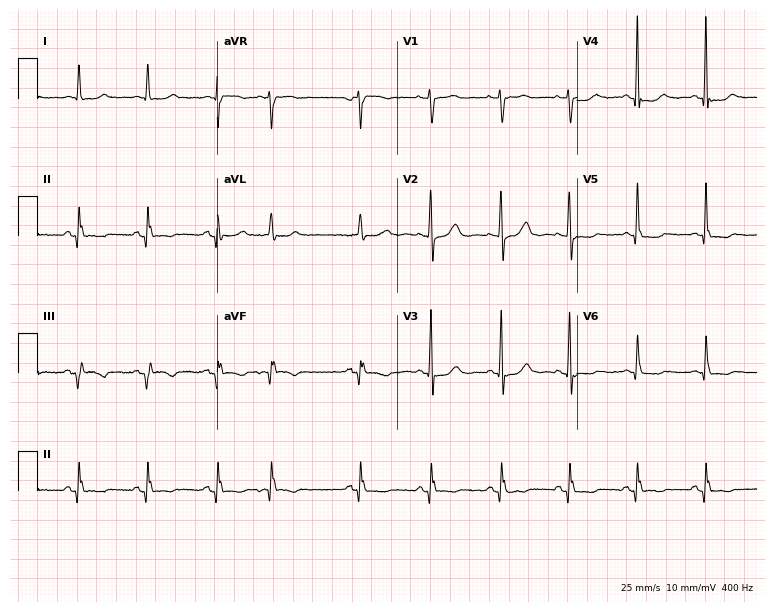
Resting 12-lead electrocardiogram. Patient: a woman, 71 years old. None of these six findings is recorded: first-degree AV block, right bundle branch block, left bundle branch block, sinus bradycardia, atrial fibrillation, sinus tachycardia. Findings outside these six are not listed.